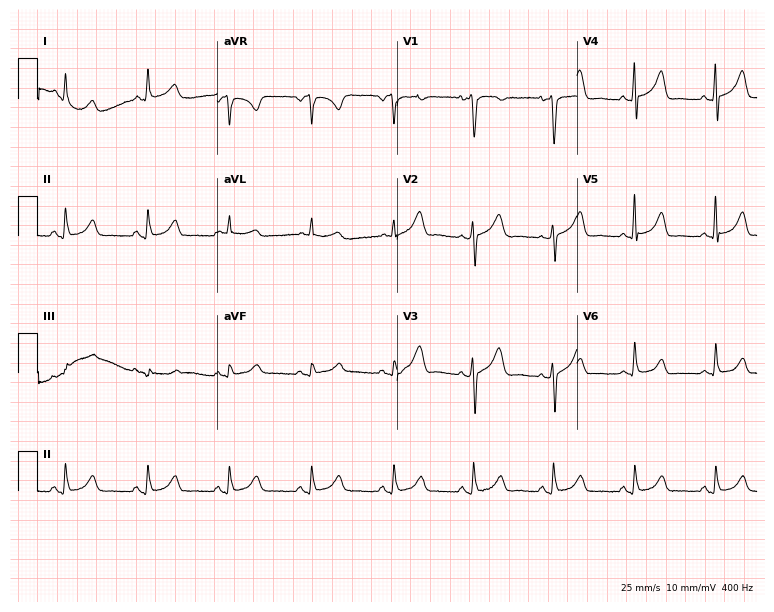
Standard 12-lead ECG recorded from a 46-year-old female (7.3-second recording at 400 Hz). None of these six findings is recorded: first-degree AV block, right bundle branch block (RBBB), left bundle branch block (LBBB), sinus bradycardia, atrial fibrillation (AF), sinus tachycardia.